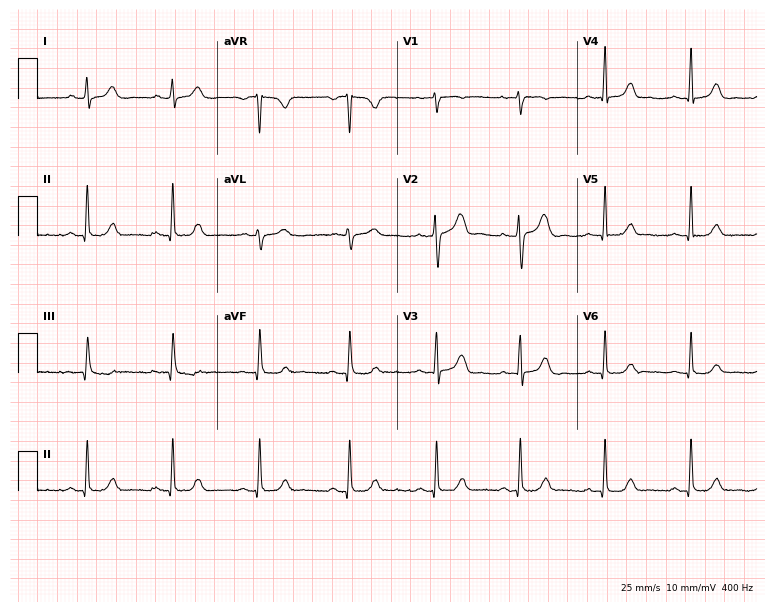
12-lead ECG (7.3-second recording at 400 Hz) from a woman, 30 years old. Screened for six findings — first-degree AV block, right bundle branch block, left bundle branch block, sinus bradycardia, atrial fibrillation, sinus tachycardia — none is recorded. Findings outside these six are not listed.